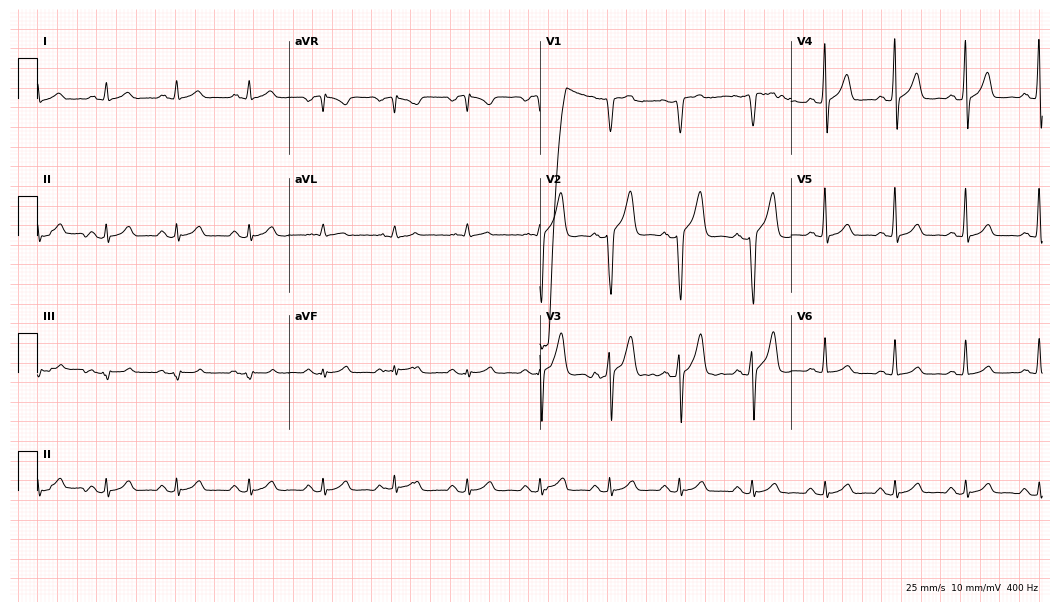
Standard 12-lead ECG recorded from a man, 47 years old (10.2-second recording at 400 Hz). None of these six findings is recorded: first-degree AV block, right bundle branch block, left bundle branch block, sinus bradycardia, atrial fibrillation, sinus tachycardia.